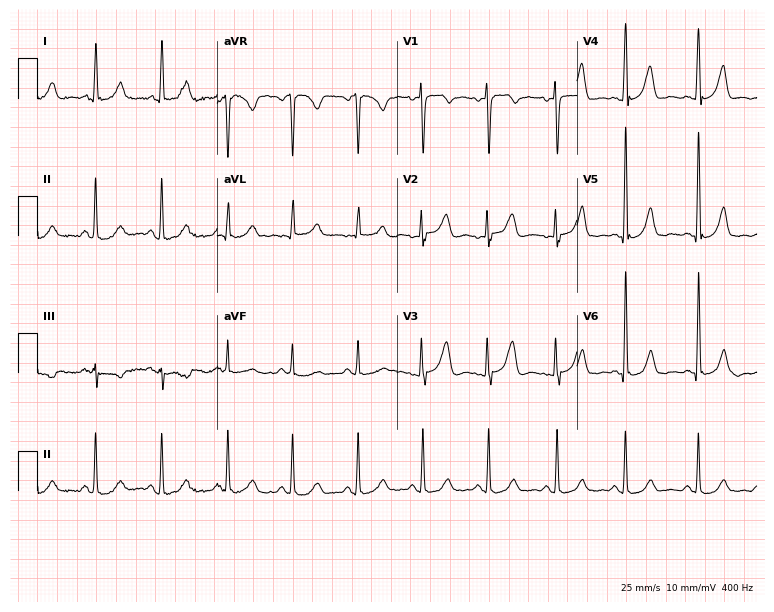
12-lead ECG from a 38-year-old woman (7.3-second recording at 400 Hz). Recorded interpretation: within normal limits.